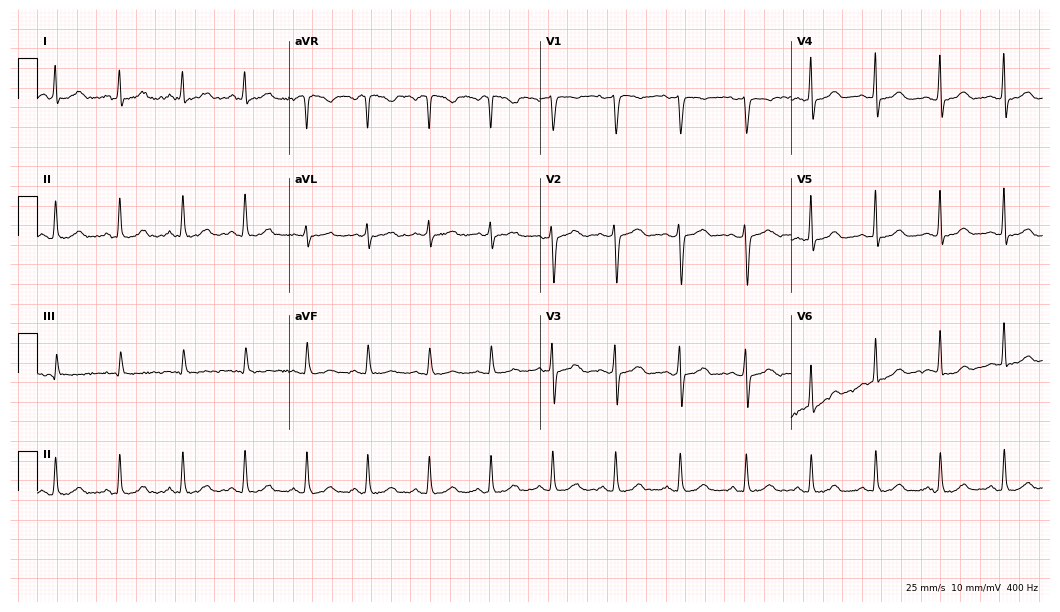
Resting 12-lead electrocardiogram. Patient: a 47-year-old female. Read as a normal ECG.